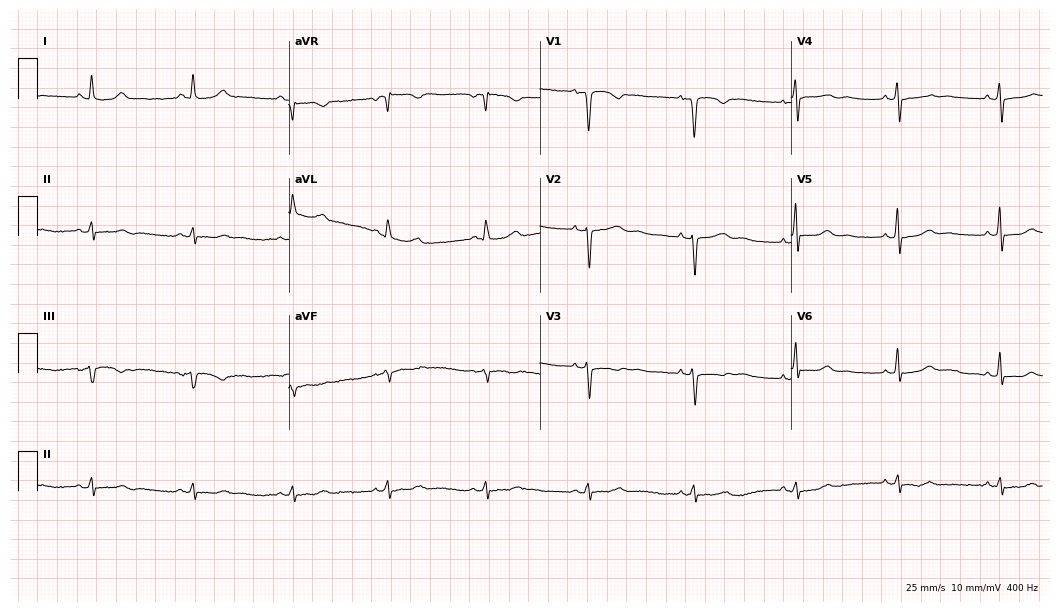
Standard 12-lead ECG recorded from a 58-year-old female patient (10.2-second recording at 400 Hz). None of these six findings is recorded: first-degree AV block, right bundle branch block, left bundle branch block, sinus bradycardia, atrial fibrillation, sinus tachycardia.